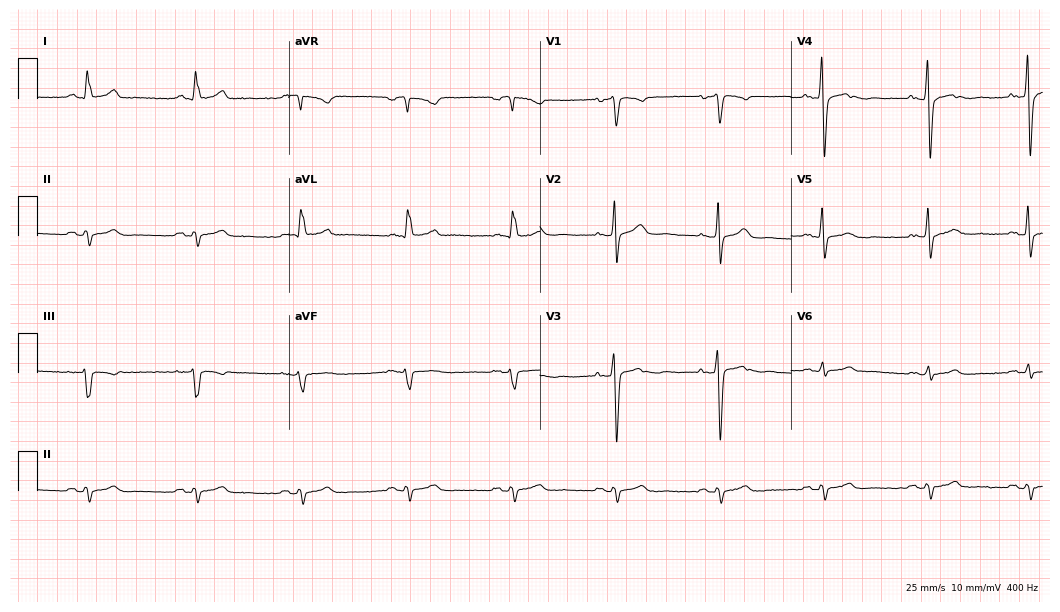
12-lead ECG from a 46-year-old male. Labelled as a normal ECG.